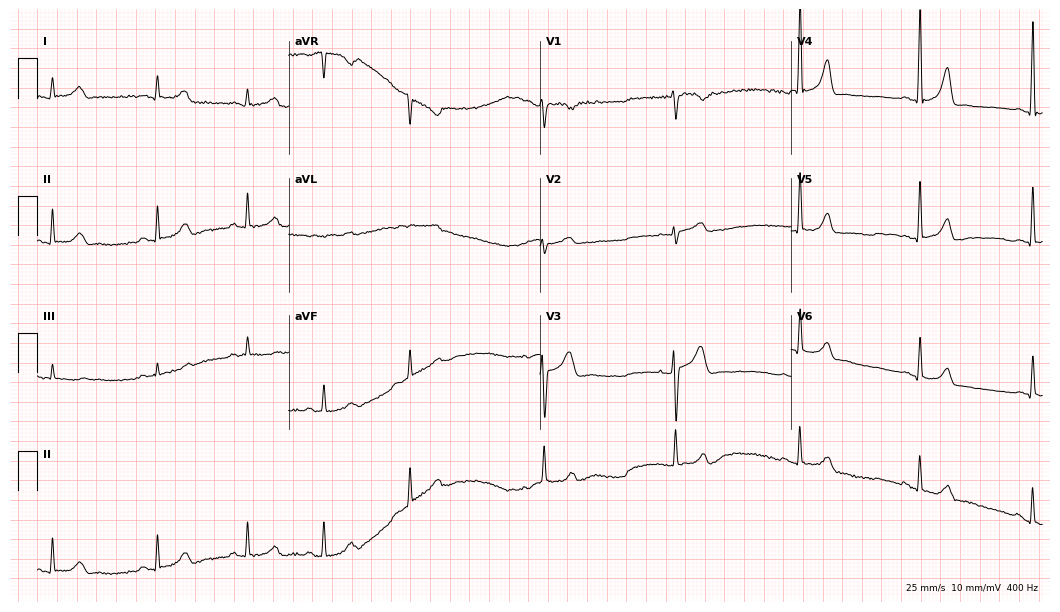
Resting 12-lead electrocardiogram. Patient: a 27-year-old female. Read as a normal ECG.